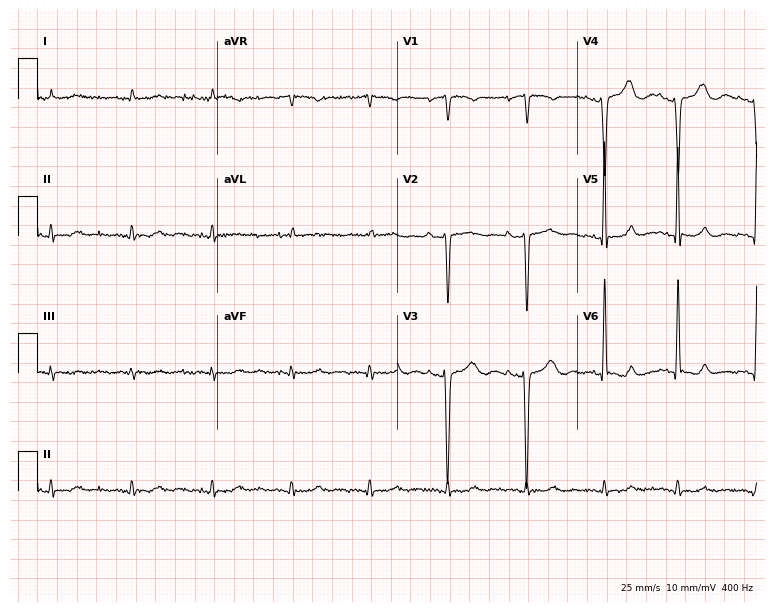
Electrocardiogram (7.3-second recording at 400 Hz), an 87-year-old female. Overall reading on record: normal ECG.